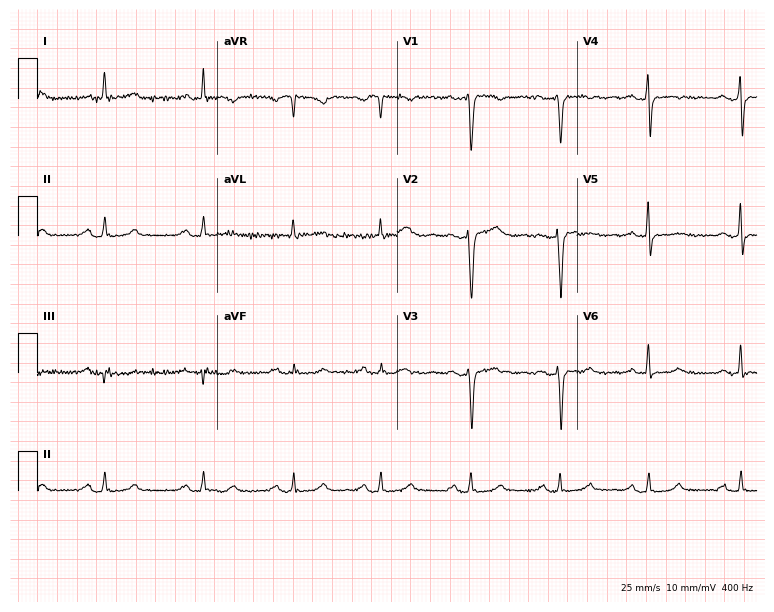
ECG — a 47-year-old woman. Screened for six findings — first-degree AV block, right bundle branch block, left bundle branch block, sinus bradycardia, atrial fibrillation, sinus tachycardia — none is recorded. Other findings, if any, are not listed.